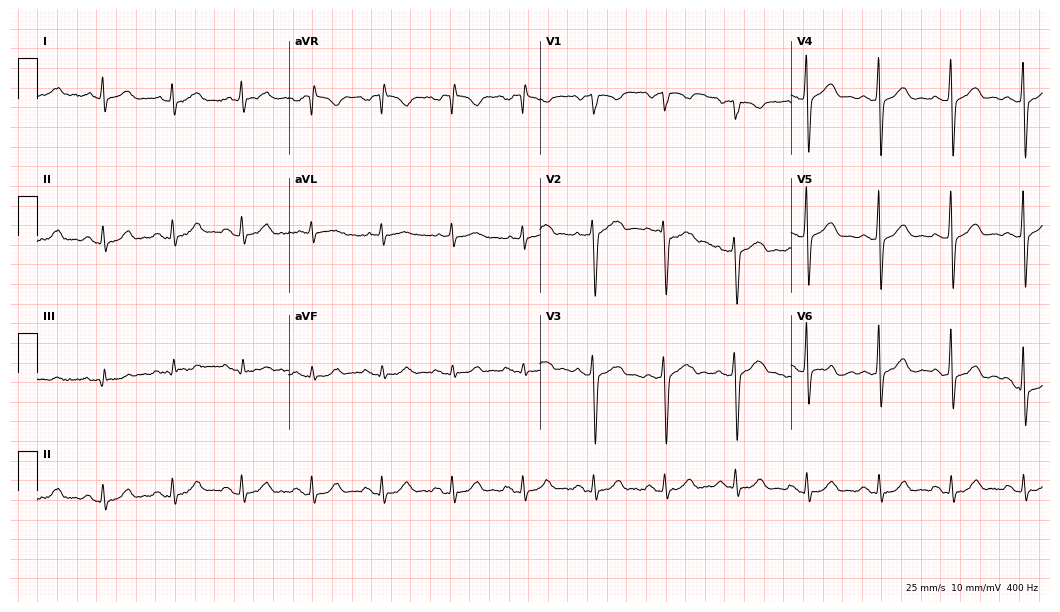
Resting 12-lead electrocardiogram. Patient: a 56-year-old man. None of these six findings is recorded: first-degree AV block, right bundle branch block, left bundle branch block, sinus bradycardia, atrial fibrillation, sinus tachycardia.